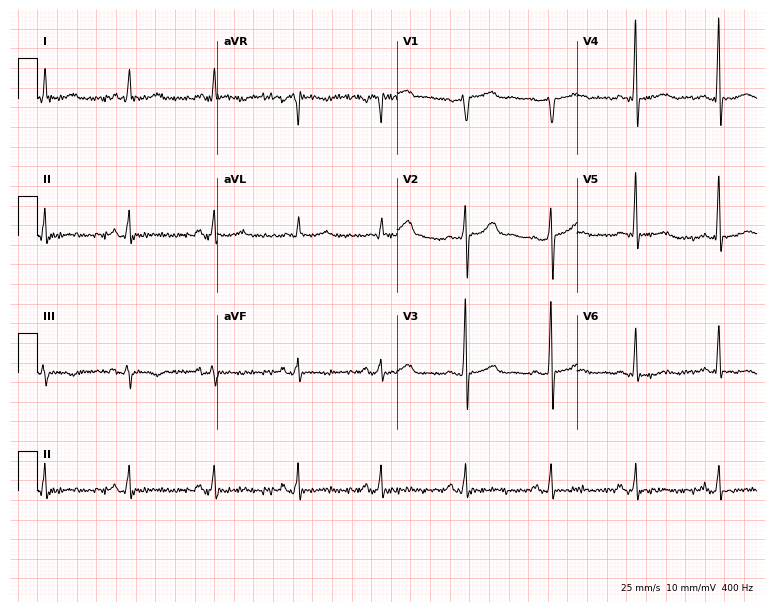
Electrocardiogram (7.3-second recording at 400 Hz), a male patient, 79 years old. Of the six screened findings (first-degree AV block, right bundle branch block, left bundle branch block, sinus bradycardia, atrial fibrillation, sinus tachycardia), none is recorded.